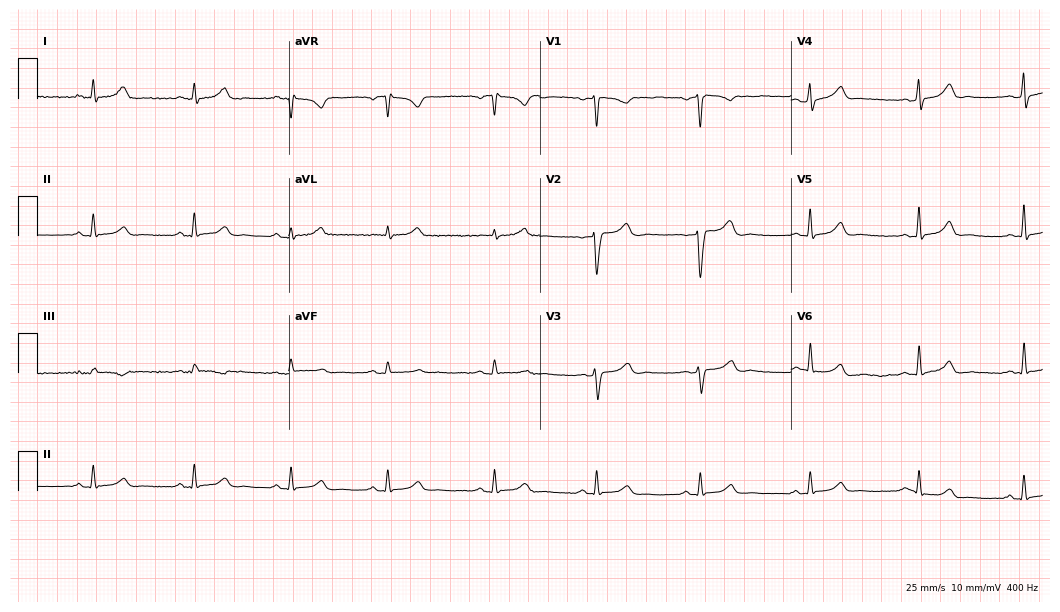
Resting 12-lead electrocardiogram. Patient: an 85-year-old male. Read as a normal ECG.